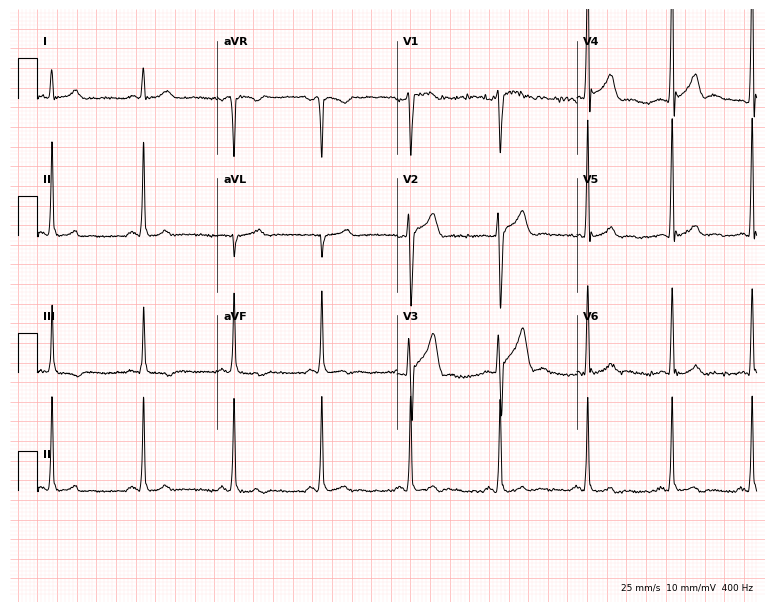
Resting 12-lead electrocardiogram (7.3-second recording at 400 Hz). Patient: a man, 32 years old. None of these six findings is recorded: first-degree AV block, right bundle branch block, left bundle branch block, sinus bradycardia, atrial fibrillation, sinus tachycardia. Findings outside these six are not listed.